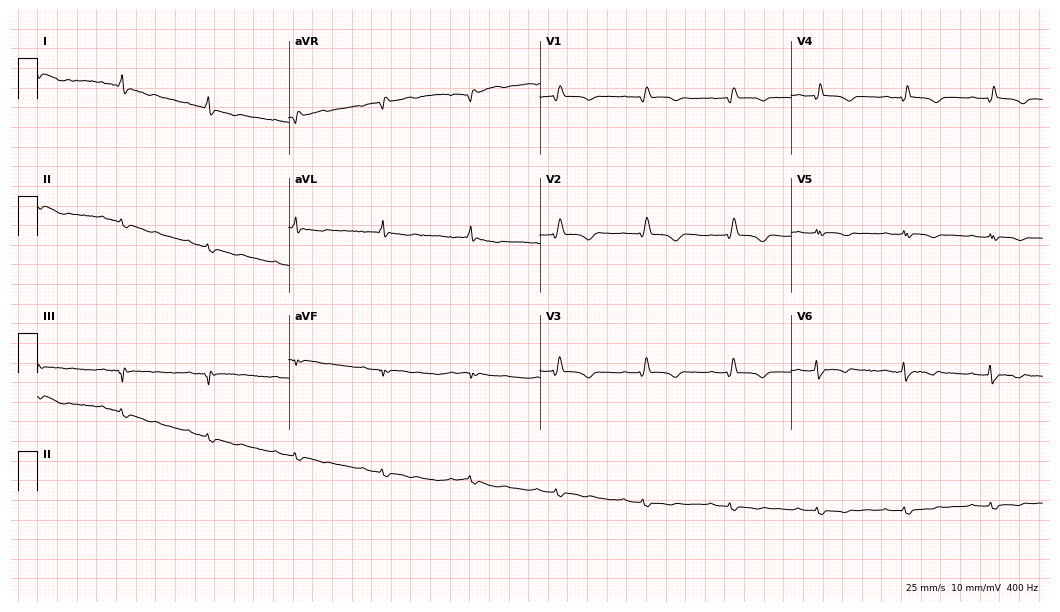
Standard 12-lead ECG recorded from a 40-year-old woman (10.2-second recording at 400 Hz). None of these six findings is recorded: first-degree AV block, right bundle branch block, left bundle branch block, sinus bradycardia, atrial fibrillation, sinus tachycardia.